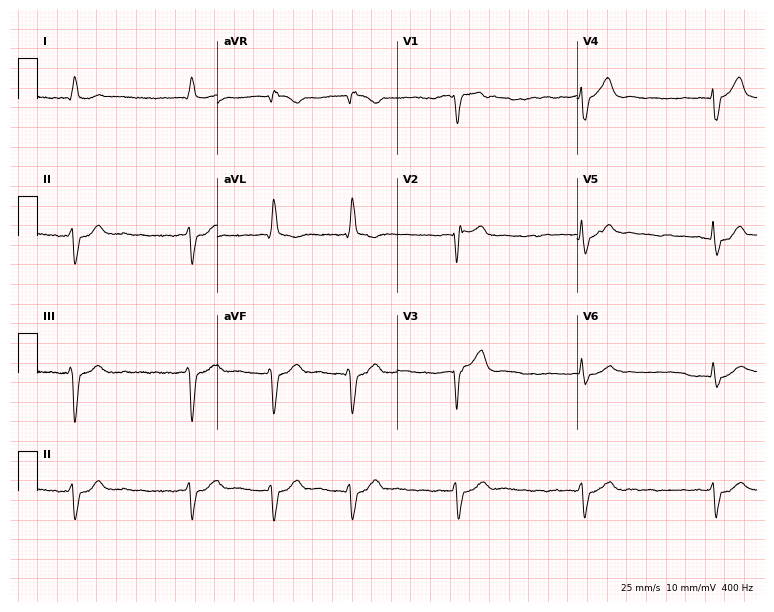
Resting 12-lead electrocardiogram (7.3-second recording at 400 Hz). Patient: a 68-year-old male. The tracing shows atrial fibrillation (AF).